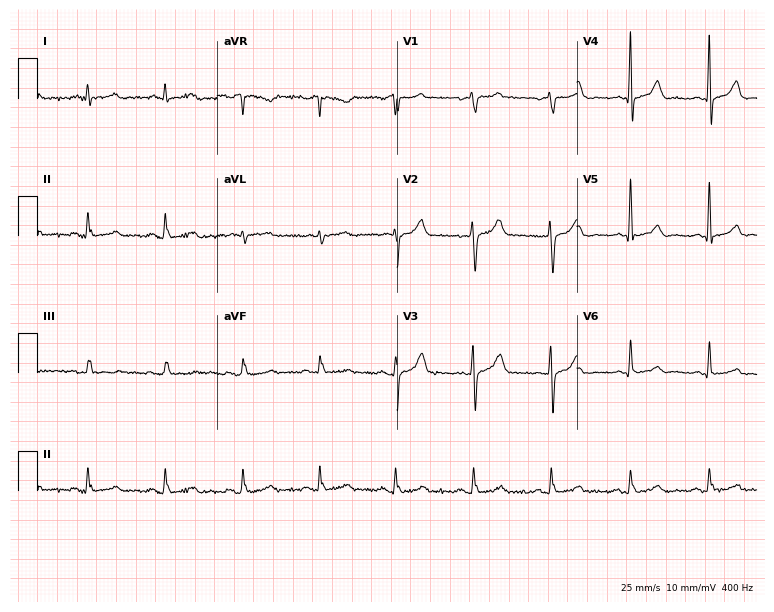
ECG (7.3-second recording at 400 Hz) — a 64-year-old man. Labelled as a normal ECG.